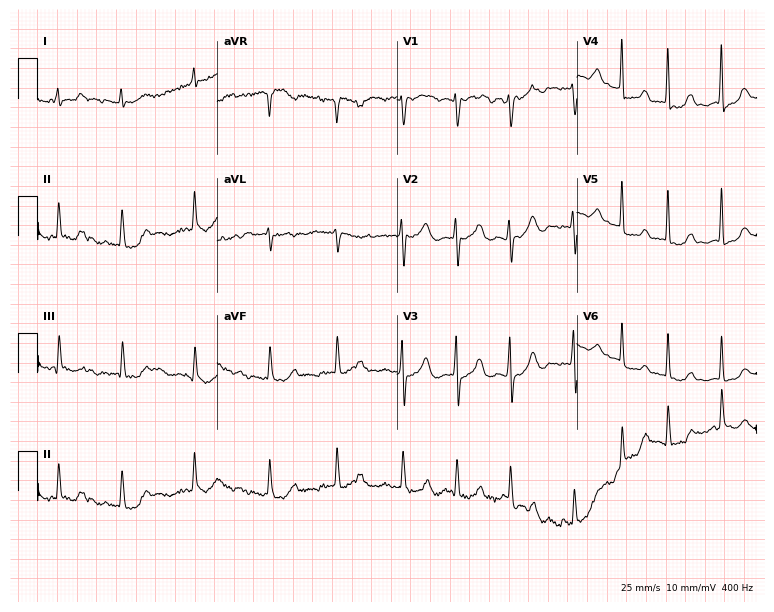
ECG — a woman, 83 years old. Findings include atrial fibrillation.